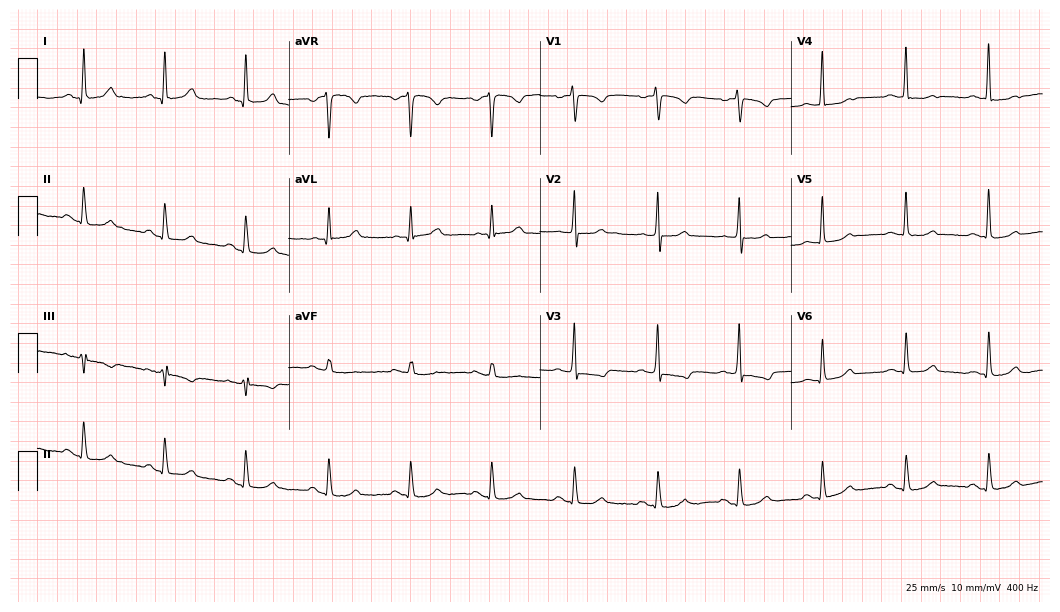
Standard 12-lead ECG recorded from a 58-year-old female. None of these six findings is recorded: first-degree AV block, right bundle branch block (RBBB), left bundle branch block (LBBB), sinus bradycardia, atrial fibrillation (AF), sinus tachycardia. Findings outside these six are not listed.